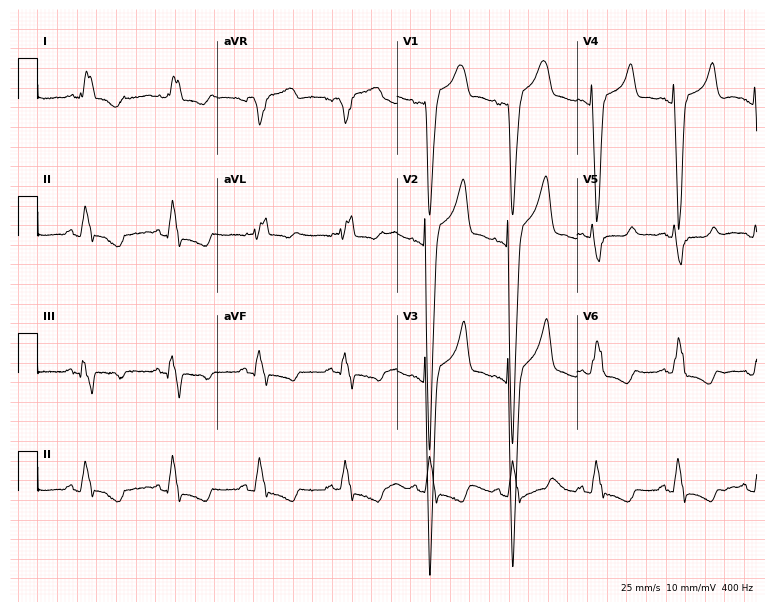
12-lead ECG (7.3-second recording at 400 Hz) from a 71-year-old male. Findings include left bundle branch block.